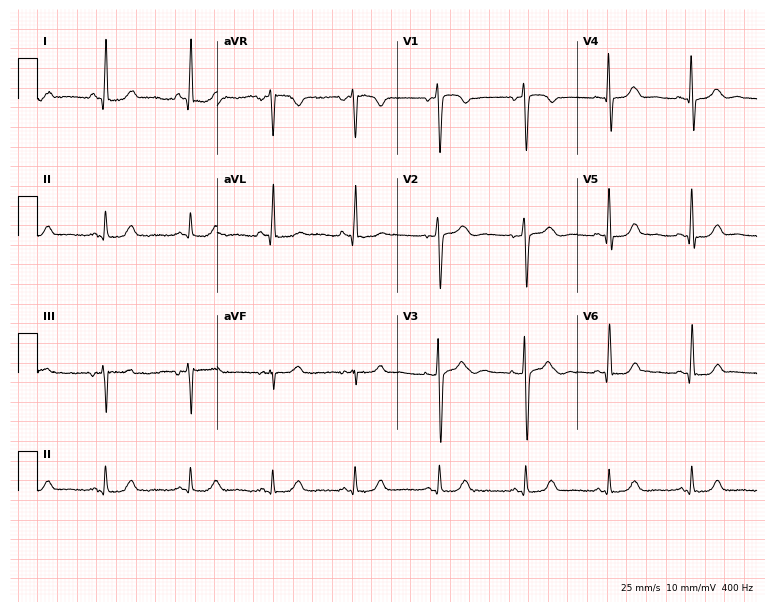
12-lead ECG (7.3-second recording at 400 Hz) from a woman, 45 years old. Screened for six findings — first-degree AV block, right bundle branch block (RBBB), left bundle branch block (LBBB), sinus bradycardia, atrial fibrillation (AF), sinus tachycardia — none is recorded.